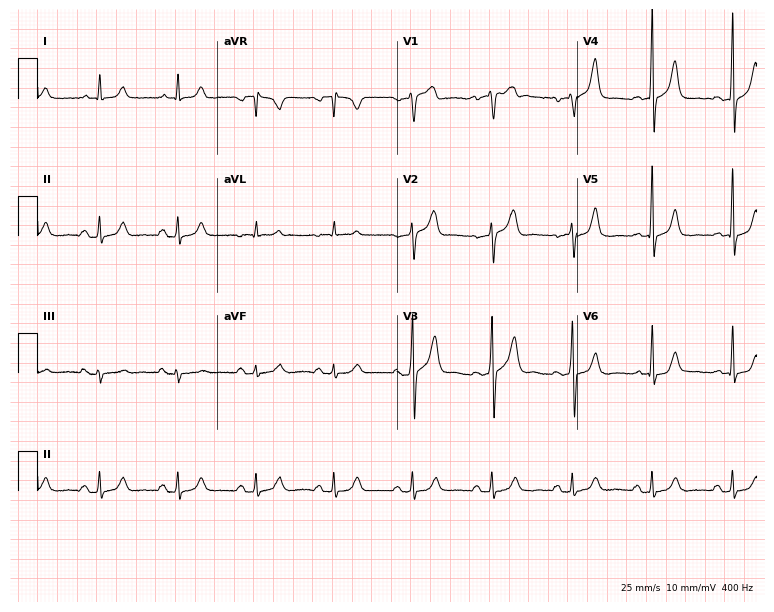
ECG (7.3-second recording at 400 Hz) — a 51-year-old male patient. Labelled as a normal ECG.